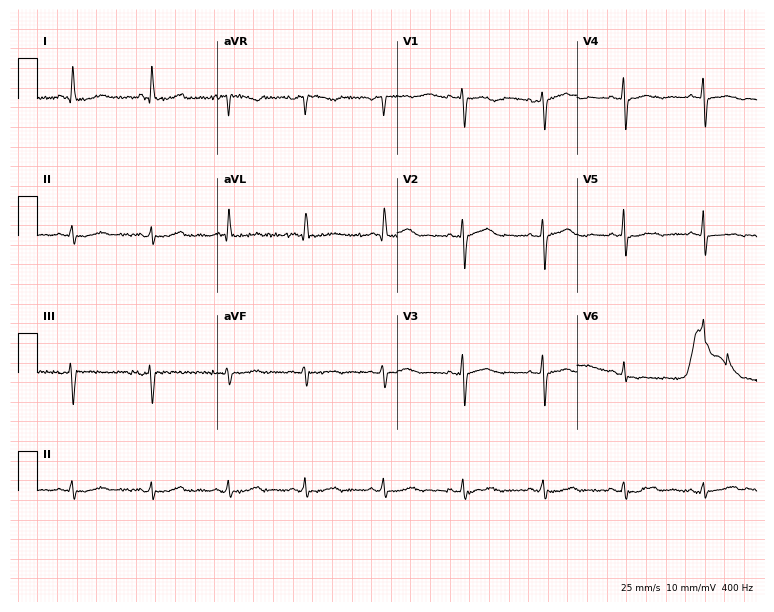
Resting 12-lead electrocardiogram (7.3-second recording at 400 Hz). Patient: a 70-year-old male. None of these six findings is recorded: first-degree AV block, right bundle branch block (RBBB), left bundle branch block (LBBB), sinus bradycardia, atrial fibrillation (AF), sinus tachycardia. Other findings, if any, are not listed.